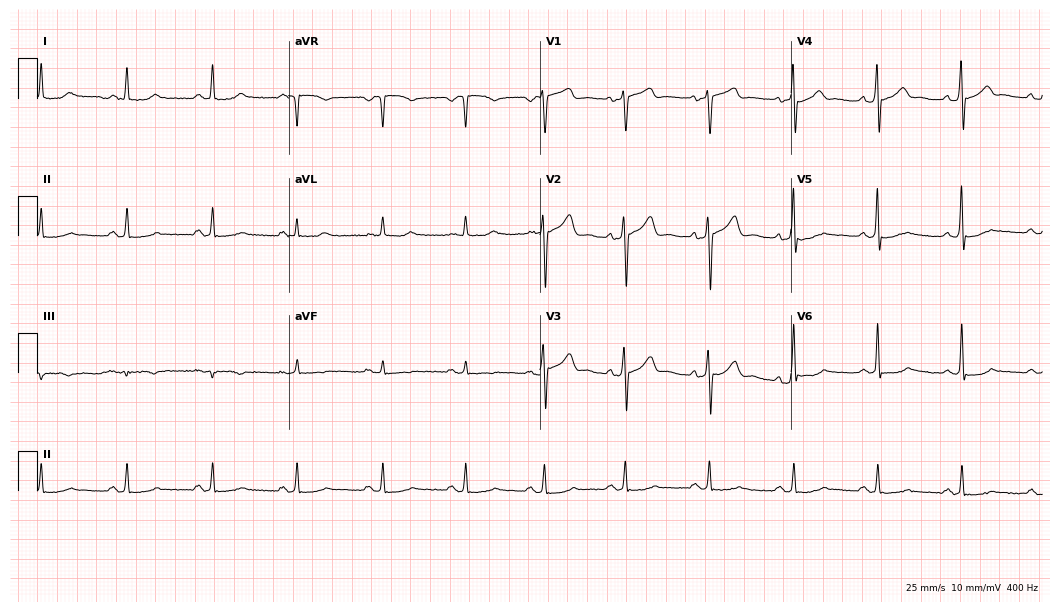
Electrocardiogram, a 45-year-old male patient. Overall reading on record: normal ECG.